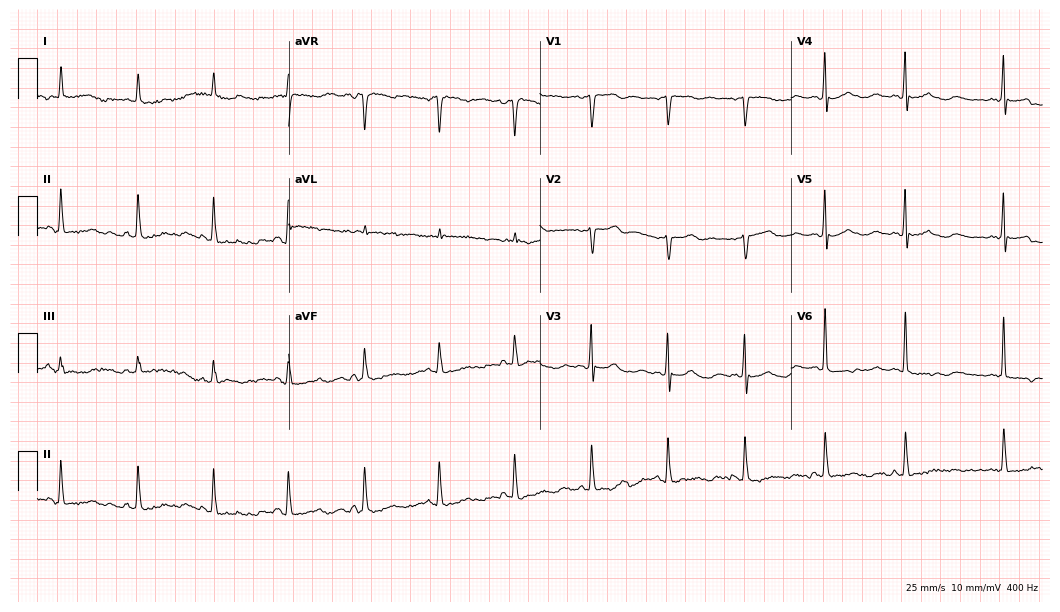
12-lead ECG from a 74-year-old female. Screened for six findings — first-degree AV block, right bundle branch block, left bundle branch block, sinus bradycardia, atrial fibrillation, sinus tachycardia — none is recorded.